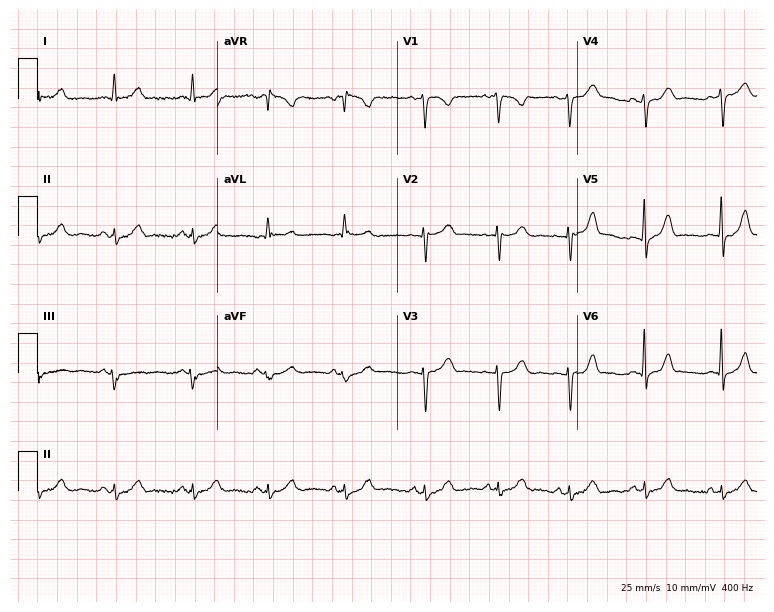
12-lead ECG from a 26-year-old woman (7.3-second recording at 400 Hz). Recorded interpretation: within normal limits.